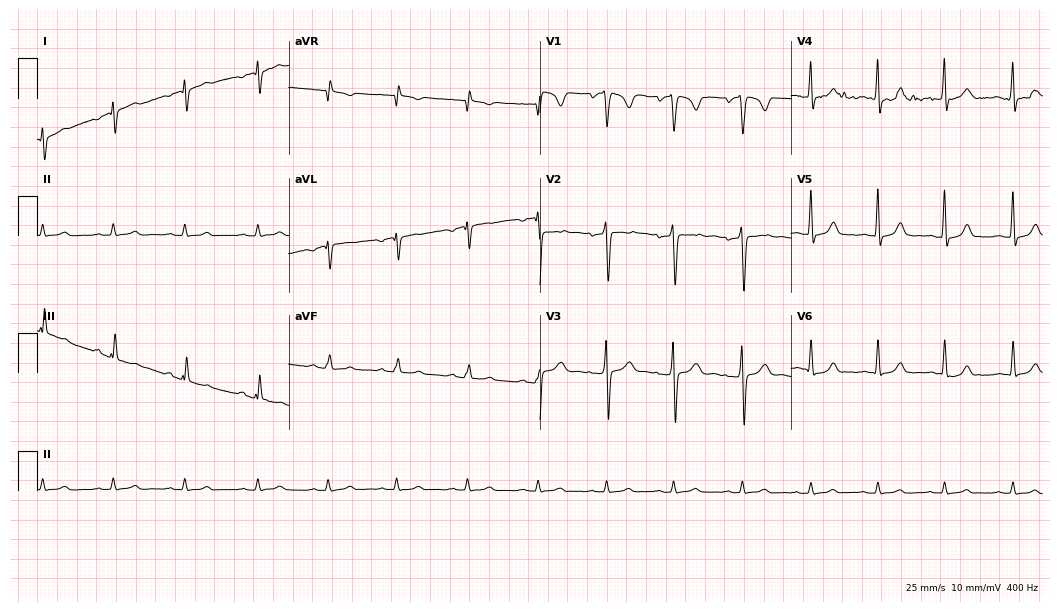
12-lead ECG from a female patient, 30 years old. No first-degree AV block, right bundle branch block, left bundle branch block, sinus bradycardia, atrial fibrillation or sinus tachycardia recorded for this tracing.